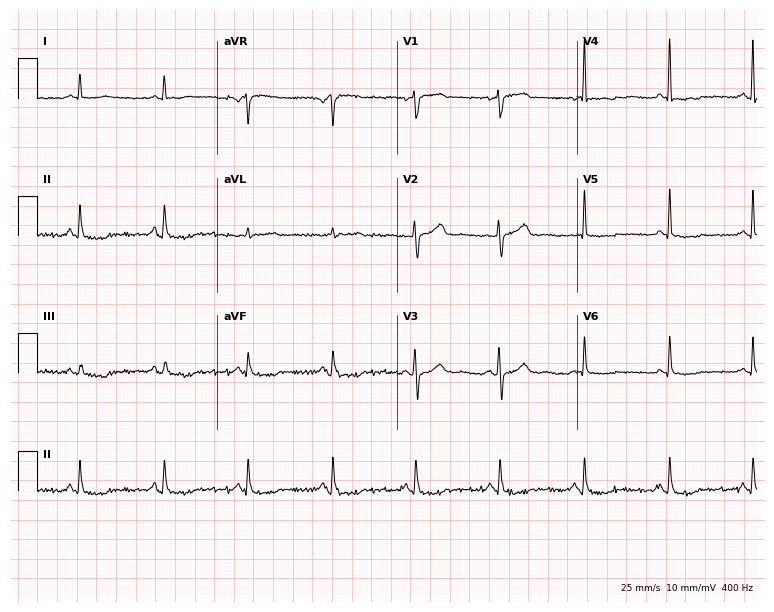
12-lead ECG from a woman, 71 years old (7.3-second recording at 400 Hz). No first-degree AV block, right bundle branch block, left bundle branch block, sinus bradycardia, atrial fibrillation or sinus tachycardia recorded for this tracing. Findings outside these six are not listed.